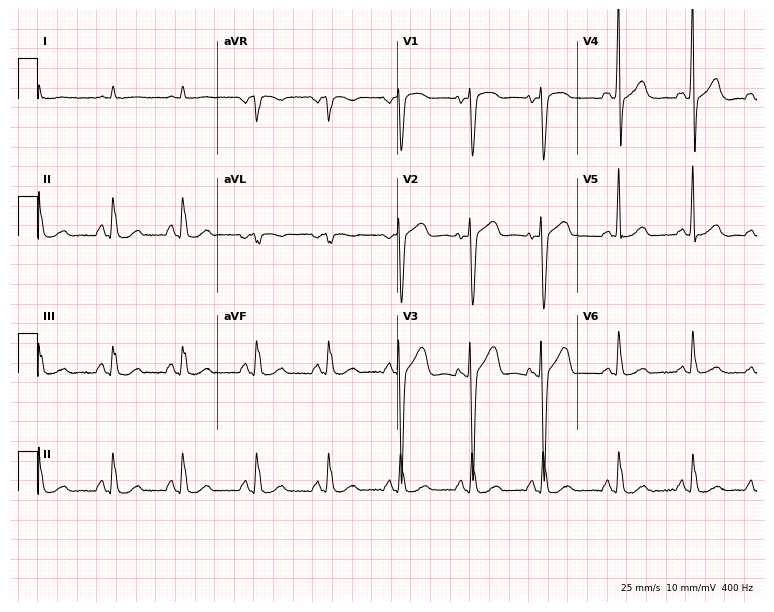
12-lead ECG (7.3-second recording at 400 Hz) from a 48-year-old male patient. Screened for six findings — first-degree AV block, right bundle branch block, left bundle branch block, sinus bradycardia, atrial fibrillation, sinus tachycardia — none is recorded. Only these six findings were labelled.